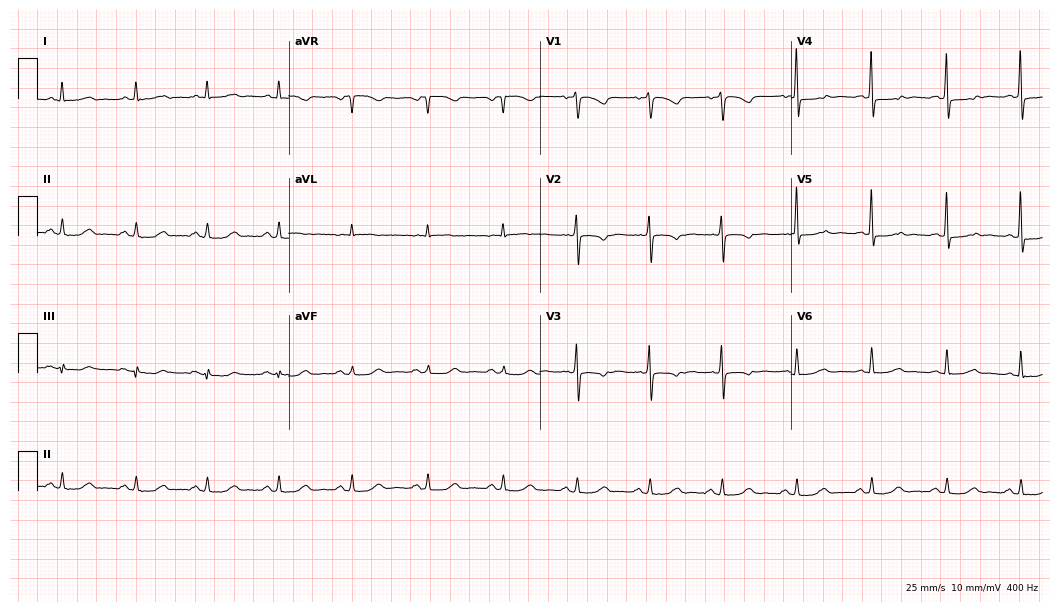
Standard 12-lead ECG recorded from a female patient, 59 years old. None of these six findings is recorded: first-degree AV block, right bundle branch block (RBBB), left bundle branch block (LBBB), sinus bradycardia, atrial fibrillation (AF), sinus tachycardia. Only these six findings were labelled.